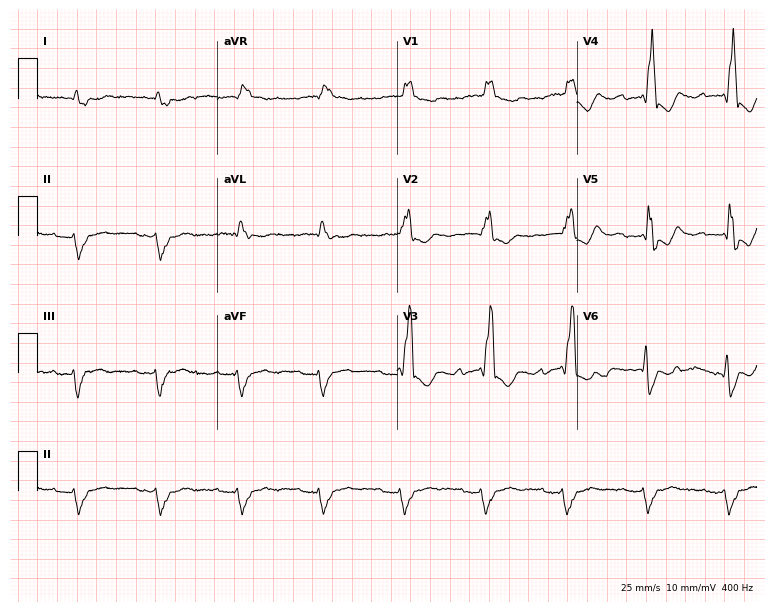
Electrocardiogram (7.3-second recording at 400 Hz), an 84-year-old male patient. Interpretation includes first-degree AV block, right bundle branch block.